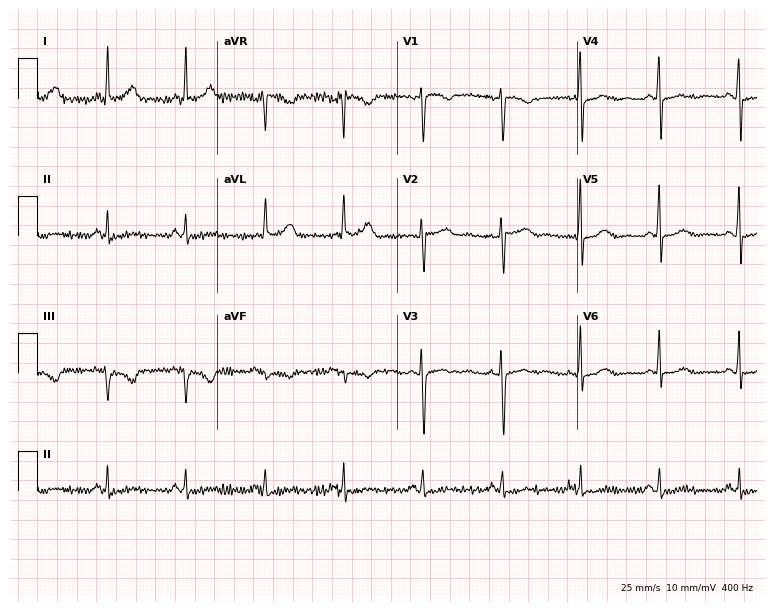
12-lead ECG from a female, 56 years old (7.3-second recording at 400 Hz). No first-degree AV block, right bundle branch block, left bundle branch block, sinus bradycardia, atrial fibrillation or sinus tachycardia recorded for this tracing.